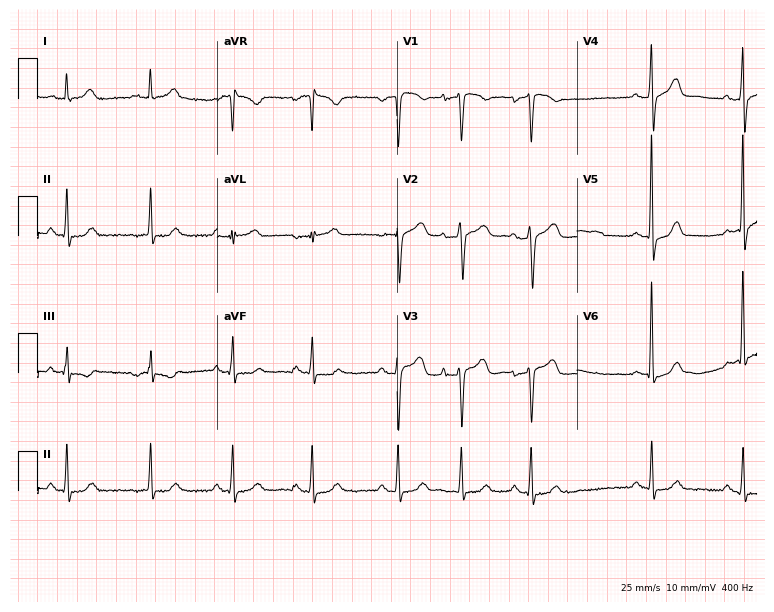
12-lead ECG from a woman, 72 years old (7.3-second recording at 400 Hz). No first-degree AV block, right bundle branch block (RBBB), left bundle branch block (LBBB), sinus bradycardia, atrial fibrillation (AF) or sinus tachycardia recorded for this tracing.